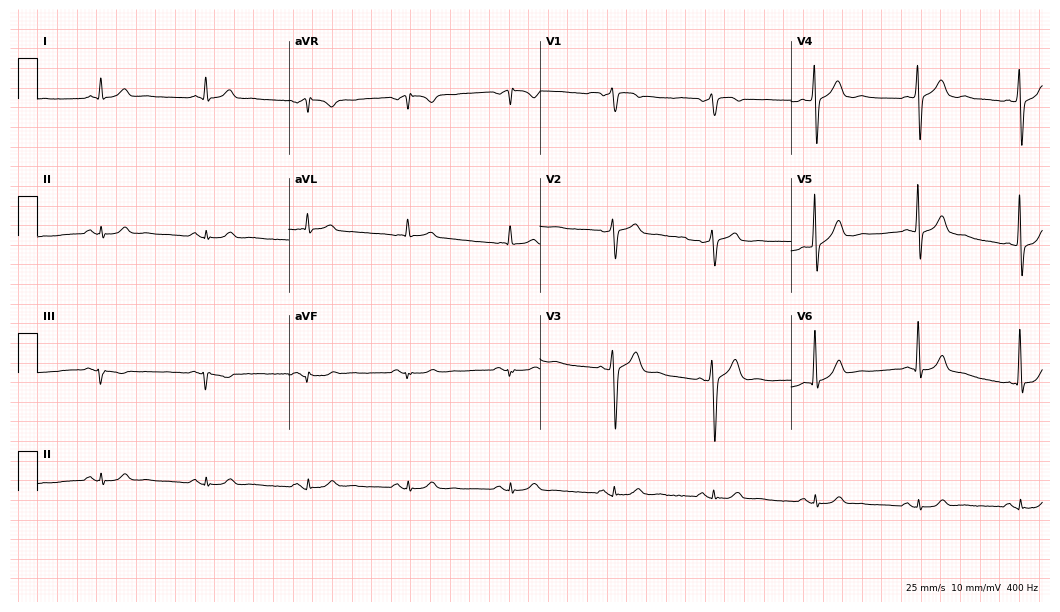
12-lead ECG (10.2-second recording at 400 Hz) from a man, 57 years old. Labelled as a normal ECG.